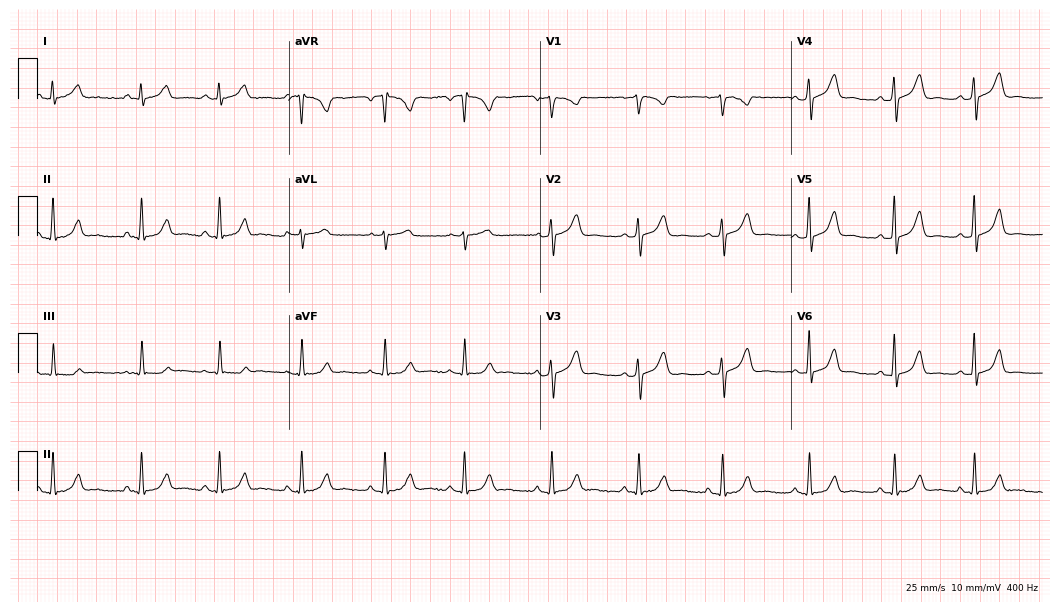
12-lead ECG from a 22-year-old female patient. Screened for six findings — first-degree AV block, right bundle branch block, left bundle branch block, sinus bradycardia, atrial fibrillation, sinus tachycardia — none is recorded. Findings outside these six are not listed.